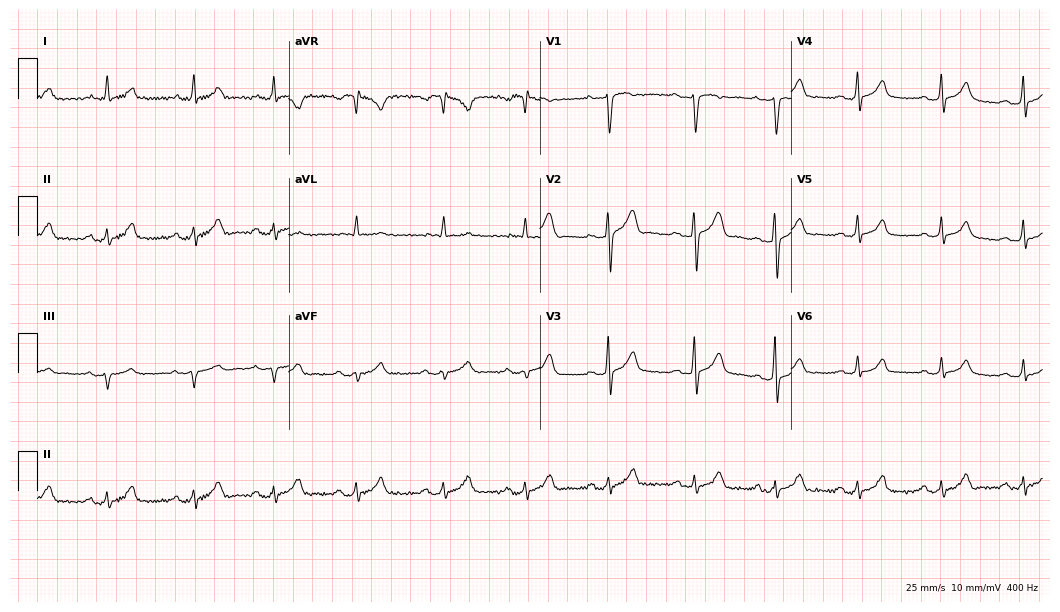
Resting 12-lead electrocardiogram. Patient: a male, 22 years old. Read as a normal ECG.